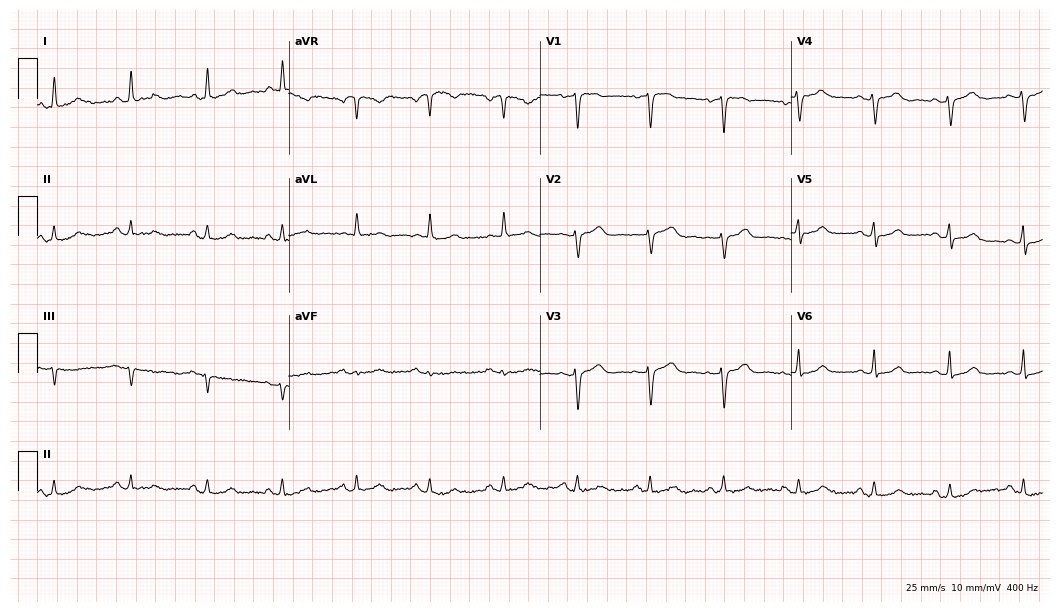
Standard 12-lead ECG recorded from a female patient, 49 years old. Read as a normal ECG.